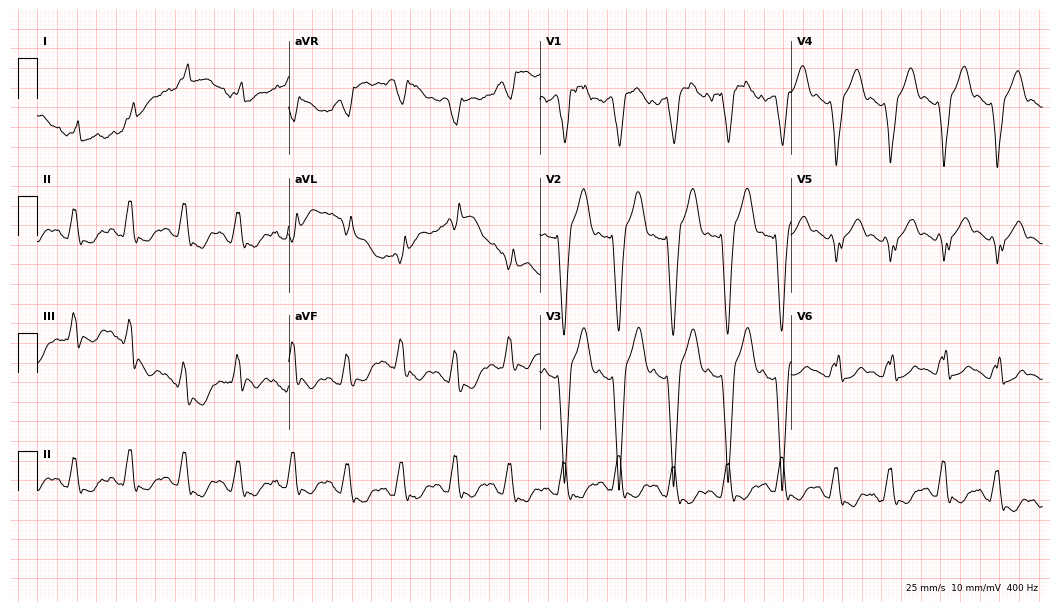
12-lead ECG from a female, 44 years old. Screened for six findings — first-degree AV block, right bundle branch block, left bundle branch block, sinus bradycardia, atrial fibrillation, sinus tachycardia — none is recorded.